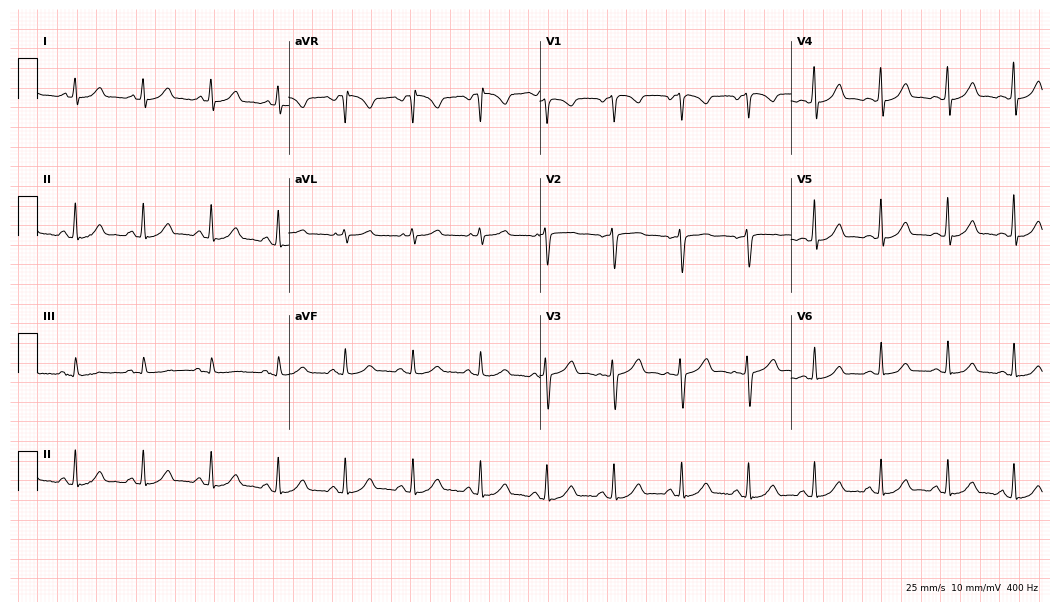
Electrocardiogram, a female, 34 years old. Of the six screened findings (first-degree AV block, right bundle branch block, left bundle branch block, sinus bradycardia, atrial fibrillation, sinus tachycardia), none is recorded. Only these six findings were labelled.